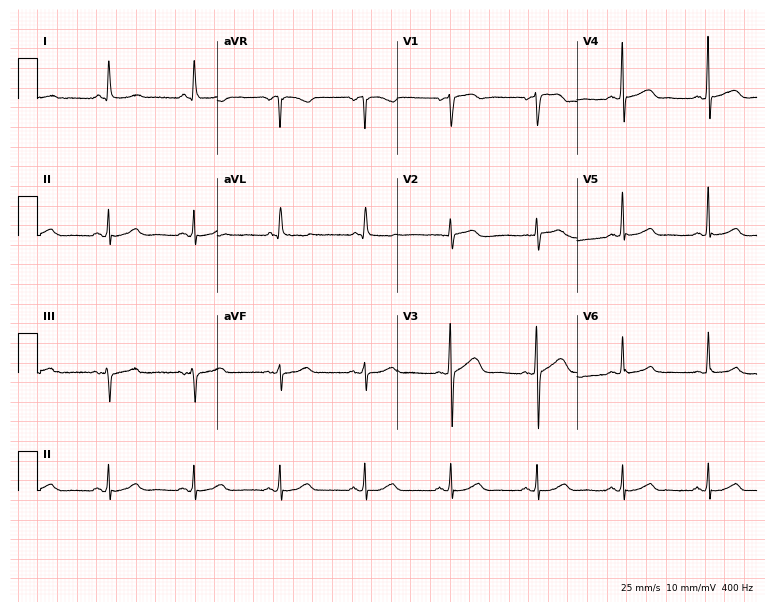
12-lead ECG from a 77-year-old woman. Labelled as a normal ECG.